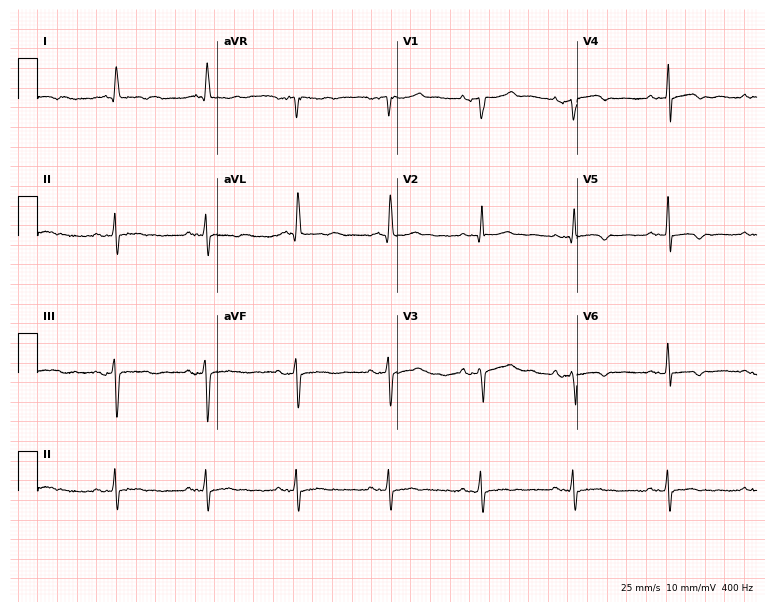
Standard 12-lead ECG recorded from an 85-year-old male patient. None of these six findings is recorded: first-degree AV block, right bundle branch block (RBBB), left bundle branch block (LBBB), sinus bradycardia, atrial fibrillation (AF), sinus tachycardia.